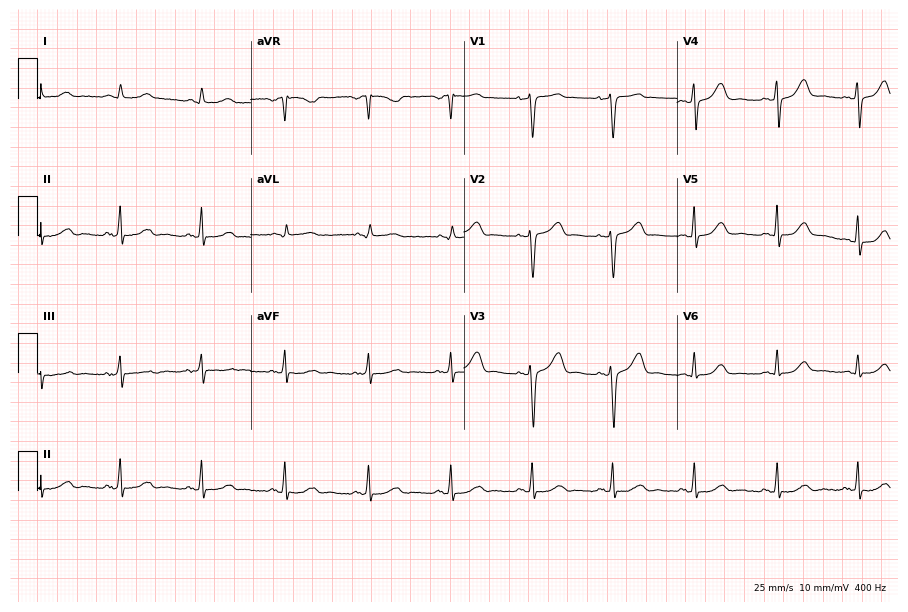
12-lead ECG from a woman, 43 years old. Recorded interpretation: within normal limits.